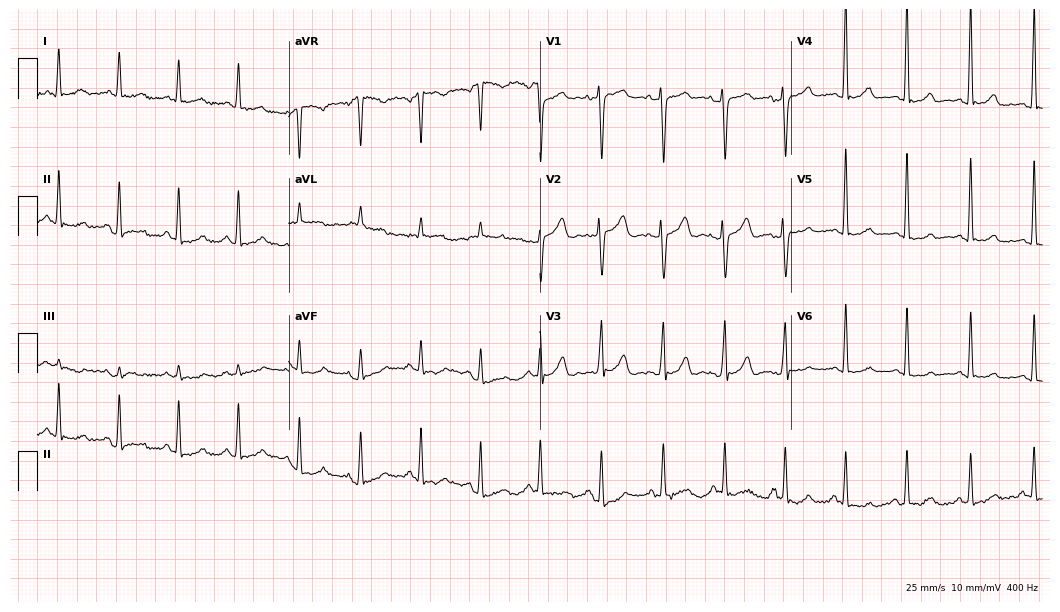
Standard 12-lead ECG recorded from a 52-year-old female patient. Read as a normal ECG.